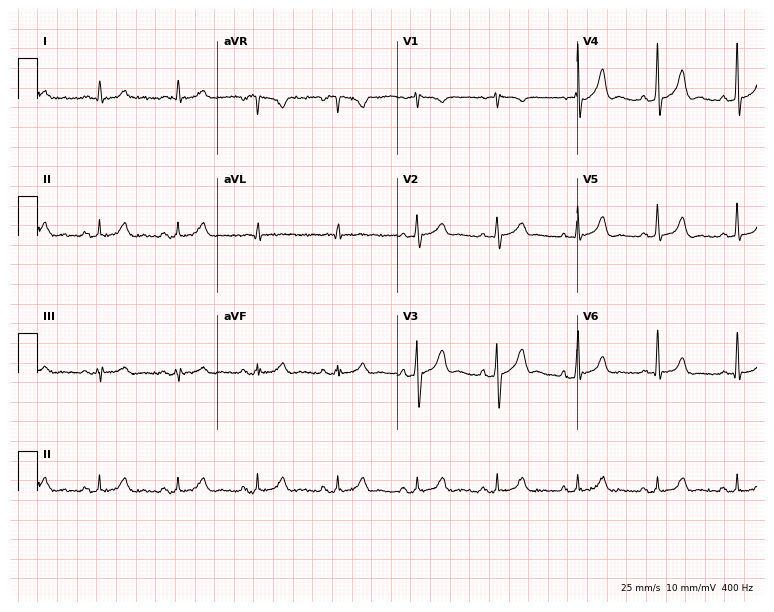
12-lead ECG from a man, 77 years old. Labelled as a normal ECG.